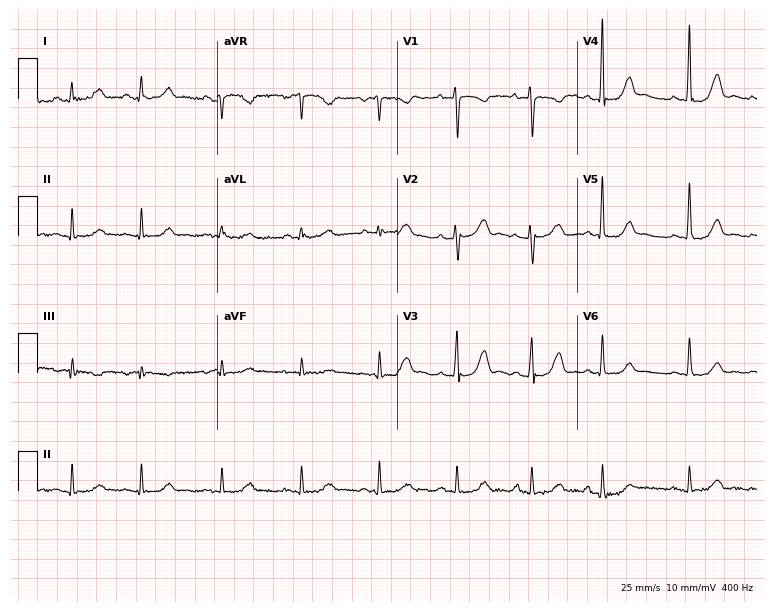
Resting 12-lead electrocardiogram (7.3-second recording at 400 Hz). Patient: a 61-year-old female. Read as a normal ECG.